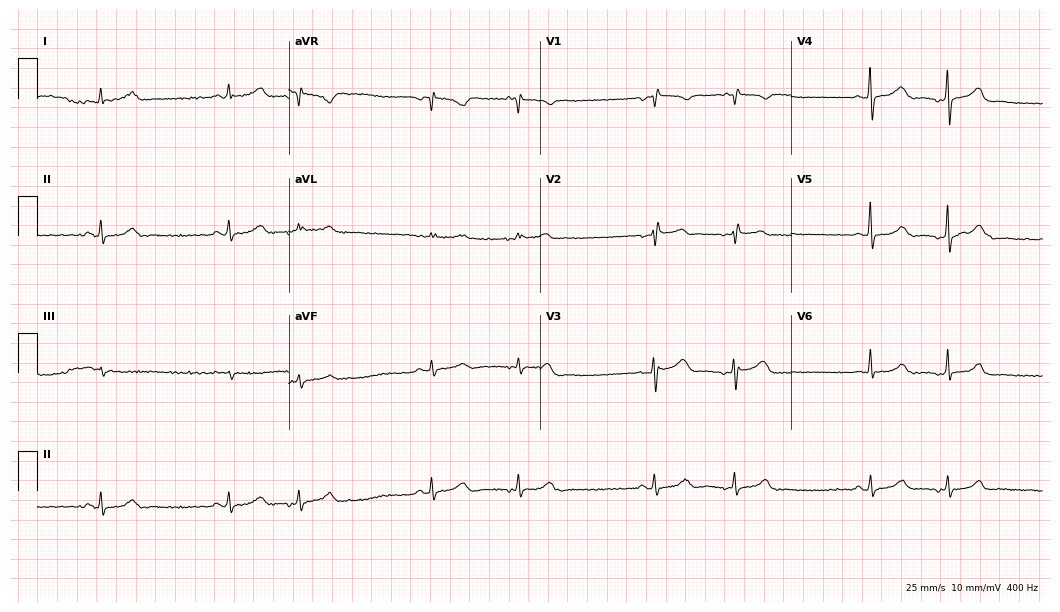
Standard 12-lead ECG recorded from a 73-year-old woman (10.2-second recording at 400 Hz). None of these six findings is recorded: first-degree AV block, right bundle branch block (RBBB), left bundle branch block (LBBB), sinus bradycardia, atrial fibrillation (AF), sinus tachycardia. Other findings, if any, are not listed.